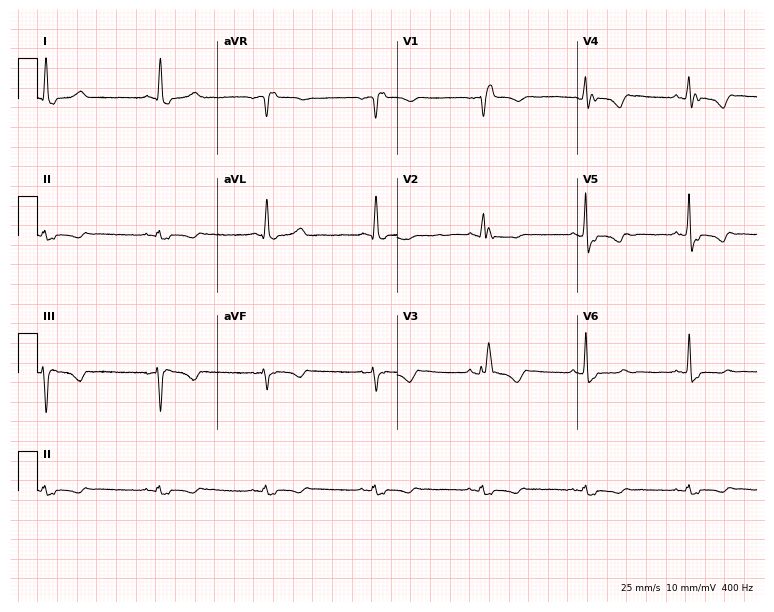
12-lead ECG (7.3-second recording at 400 Hz) from a female, 64 years old. Findings include right bundle branch block.